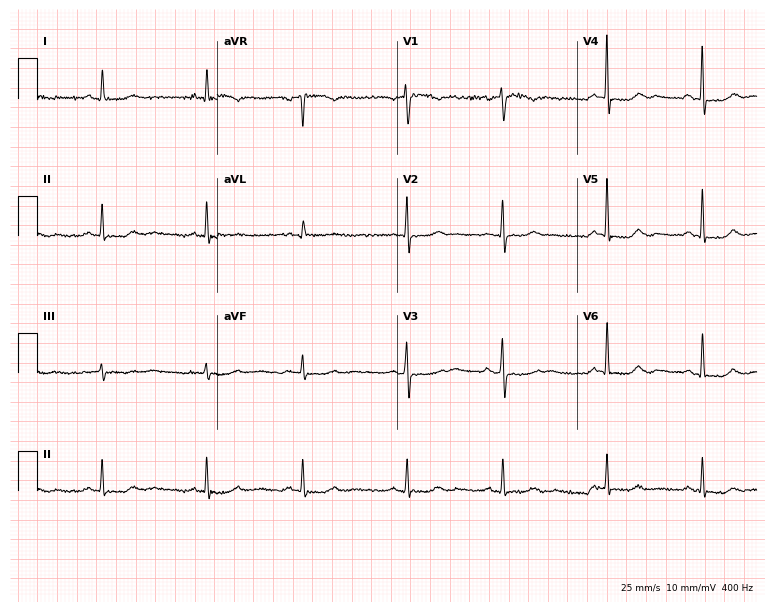
ECG (7.3-second recording at 400 Hz) — an 80-year-old female. Screened for six findings — first-degree AV block, right bundle branch block (RBBB), left bundle branch block (LBBB), sinus bradycardia, atrial fibrillation (AF), sinus tachycardia — none is recorded. Other findings, if any, are not listed.